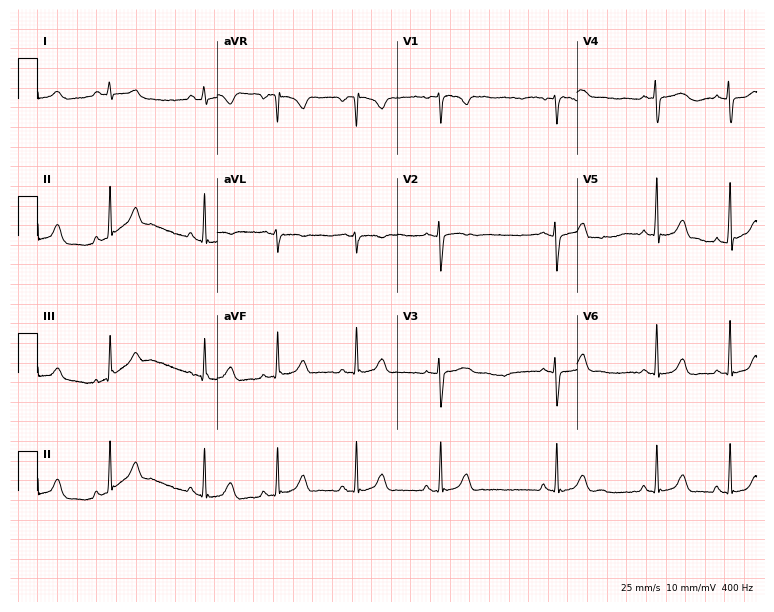
Standard 12-lead ECG recorded from a woman, 17 years old. None of these six findings is recorded: first-degree AV block, right bundle branch block, left bundle branch block, sinus bradycardia, atrial fibrillation, sinus tachycardia.